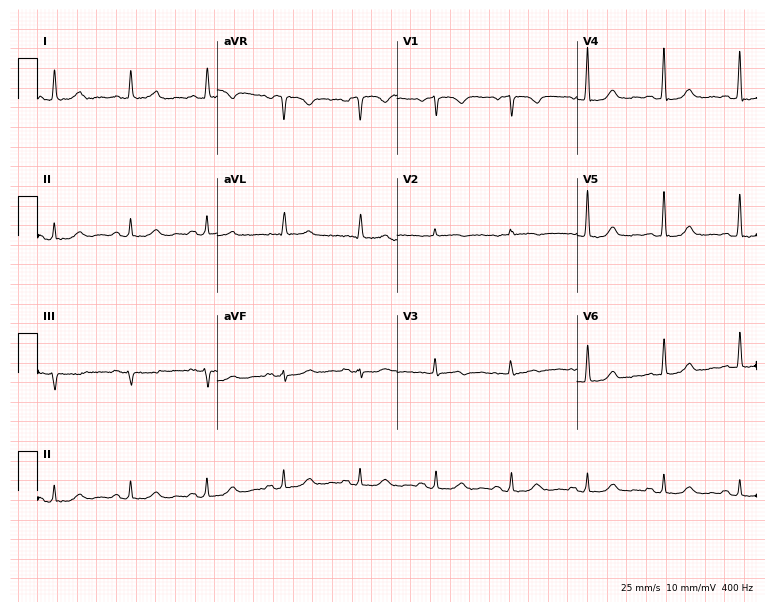
12-lead ECG from a female patient, 71 years old. No first-degree AV block, right bundle branch block (RBBB), left bundle branch block (LBBB), sinus bradycardia, atrial fibrillation (AF) or sinus tachycardia recorded for this tracing. Other findings, if any, are not listed.